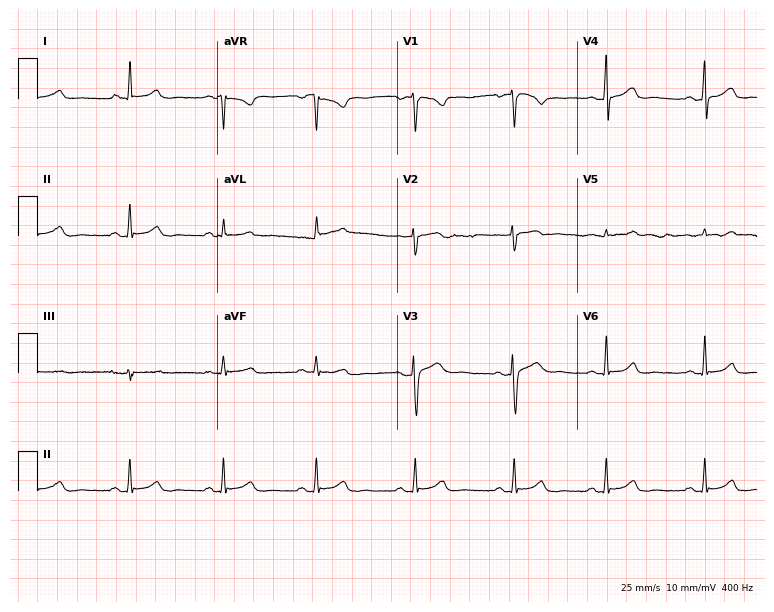
ECG — a female, 40 years old. Labelled as a normal ECG.